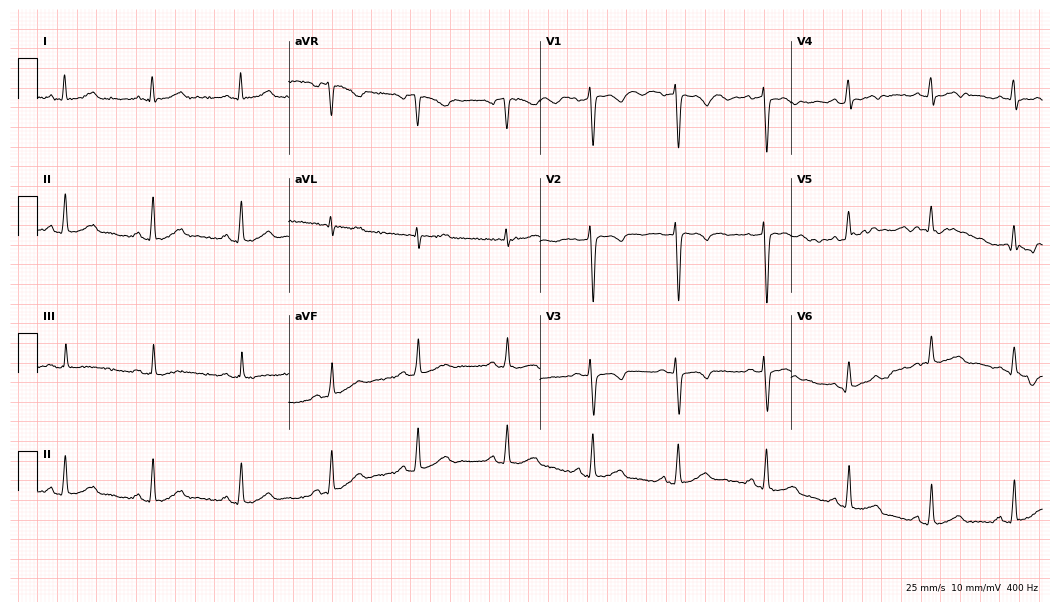
Electrocardiogram (10.2-second recording at 400 Hz), a female, 62 years old. Of the six screened findings (first-degree AV block, right bundle branch block (RBBB), left bundle branch block (LBBB), sinus bradycardia, atrial fibrillation (AF), sinus tachycardia), none is recorded. Other findings, if any, are not listed.